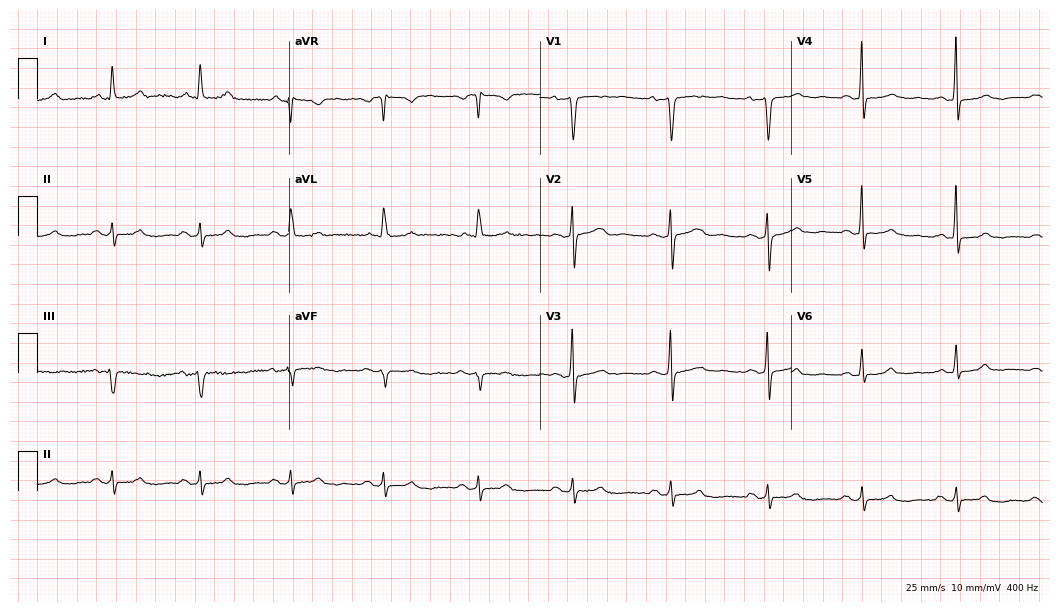
12-lead ECG from a man, 67 years old. Screened for six findings — first-degree AV block, right bundle branch block, left bundle branch block, sinus bradycardia, atrial fibrillation, sinus tachycardia — none is recorded.